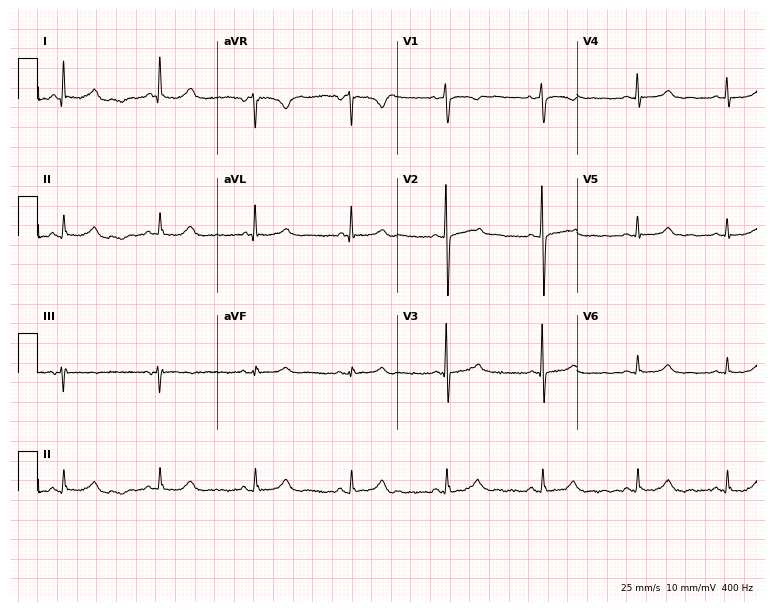
12-lead ECG (7.3-second recording at 400 Hz) from a 55-year-old female. Screened for six findings — first-degree AV block, right bundle branch block (RBBB), left bundle branch block (LBBB), sinus bradycardia, atrial fibrillation (AF), sinus tachycardia — none is recorded. Findings outside these six are not listed.